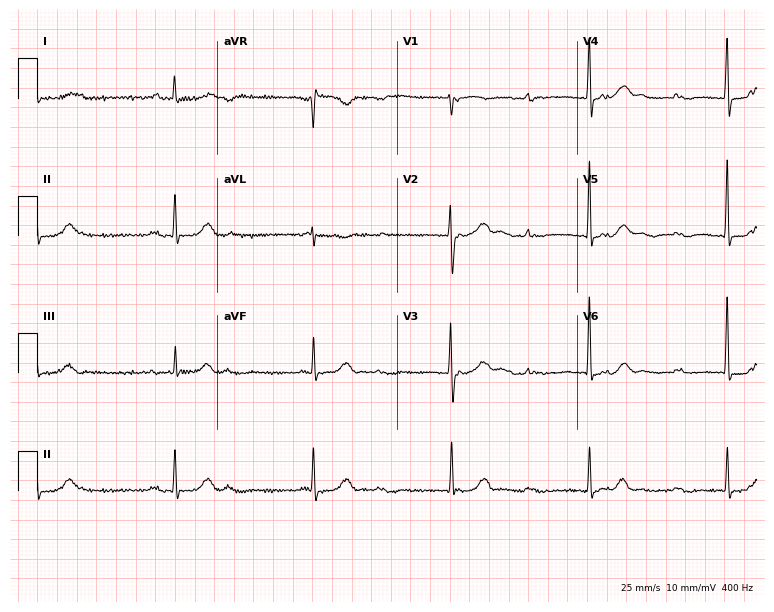
12-lead ECG from a 74-year-old woman (7.3-second recording at 400 Hz). Shows sinus bradycardia (a sinus rate of 50 beats per minute or less).